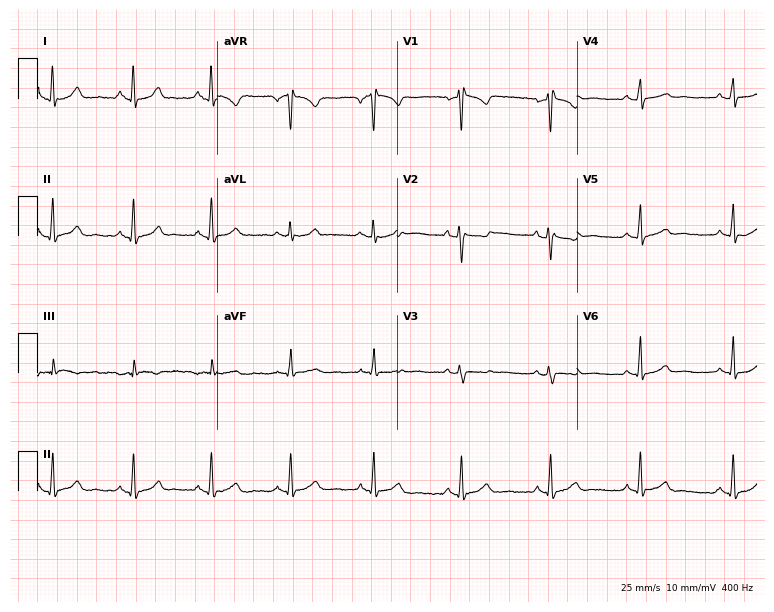
Resting 12-lead electrocardiogram (7.3-second recording at 400 Hz). Patient: a 35-year-old female. None of these six findings is recorded: first-degree AV block, right bundle branch block, left bundle branch block, sinus bradycardia, atrial fibrillation, sinus tachycardia. Findings outside these six are not listed.